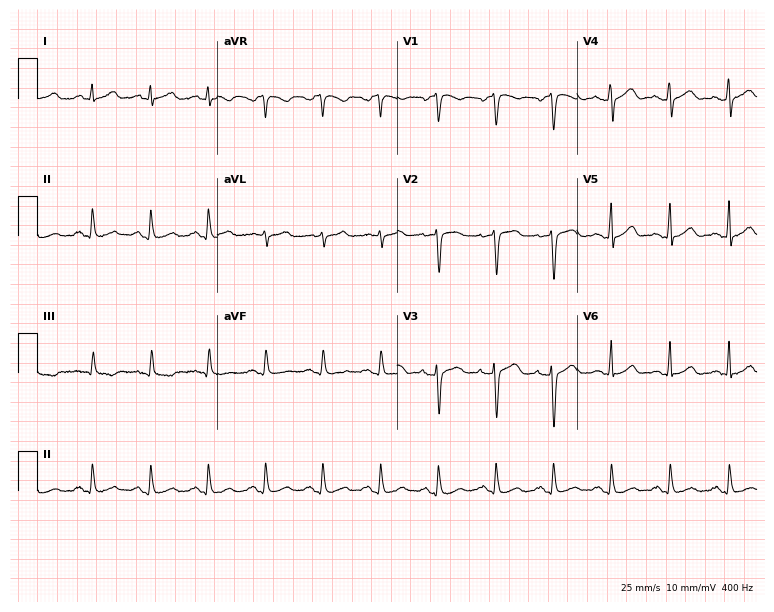
12-lead ECG from a 44-year-old man (7.3-second recording at 400 Hz). Shows sinus tachycardia (a sinus rate of 100 beats per minute or more).